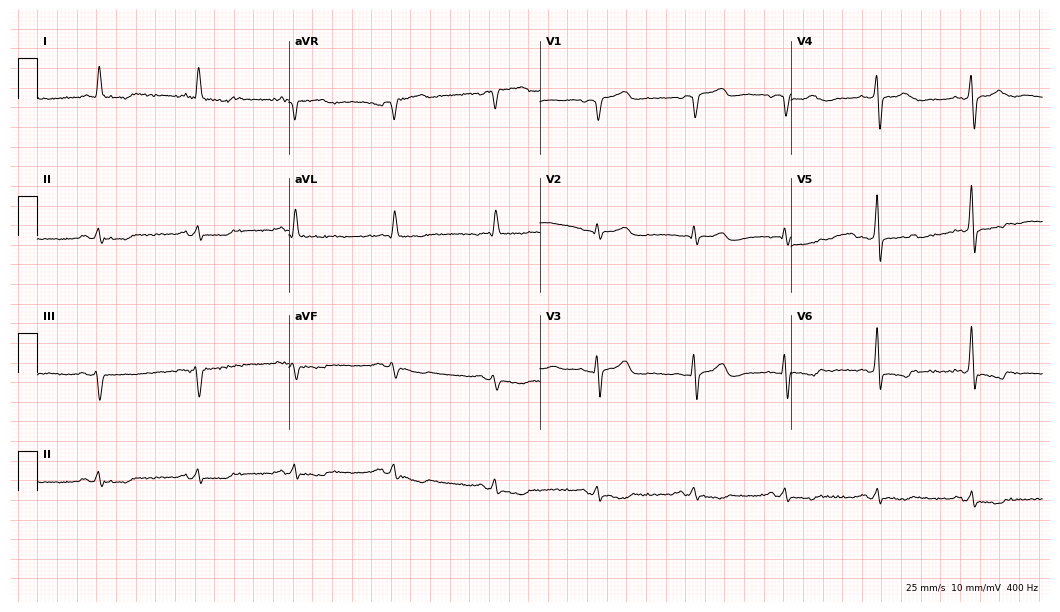
12-lead ECG from a male, 83 years old (10.2-second recording at 400 Hz). No first-degree AV block, right bundle branch block, left bundle branch block, sinus bradycardia, atrial fibrillation or sinus tachycardia recorded for this tracing. Other findings, if any, are not listed.